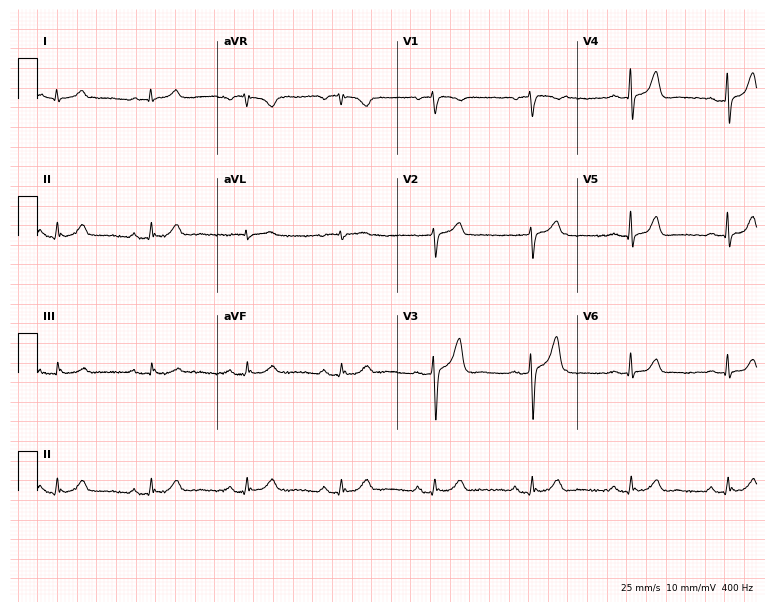
12-lead ECG from a 58-year-old male patient. Labelled as a normal ECG.